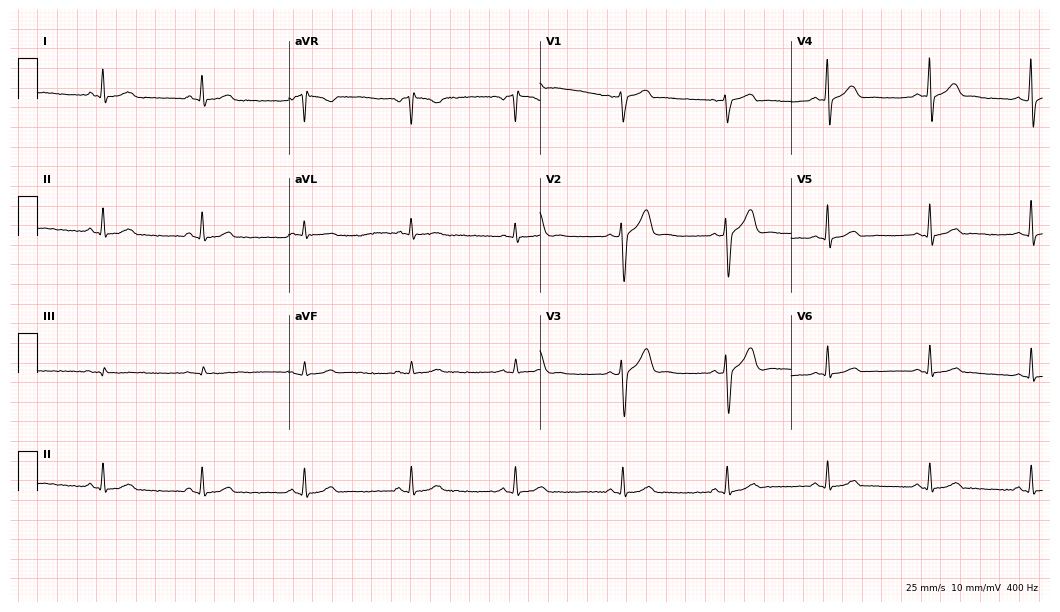
12-lead ECG from a 51-year-old male patient (10.2-second recording at 400 Hz). Recorded interpretation: within normal limits.